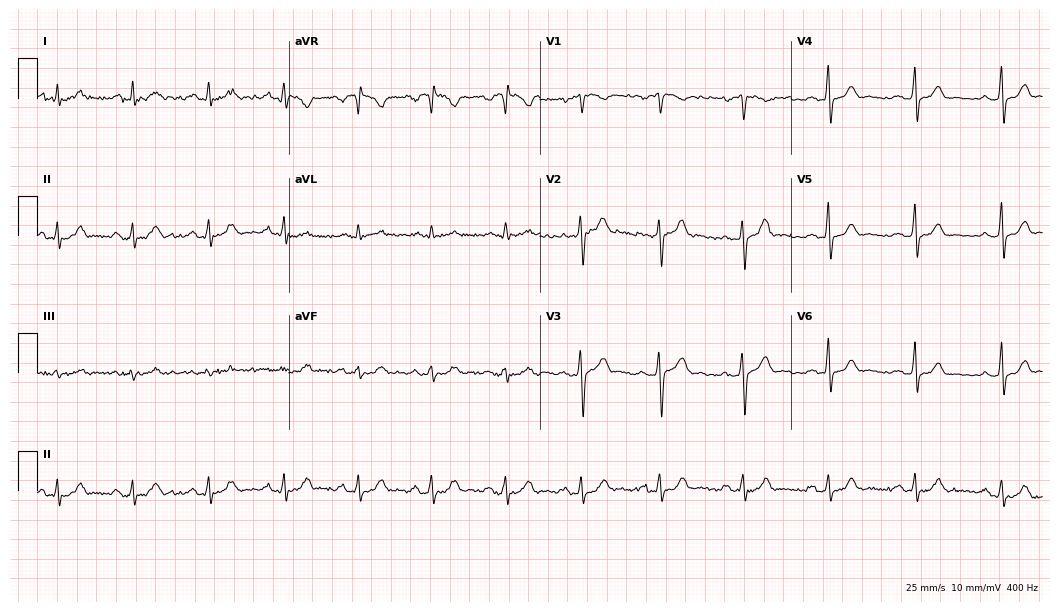
Electrocardiogram (10.2-second recording at 400 Hz), a 31-year-old male. Overall reading on record: normal ECG.